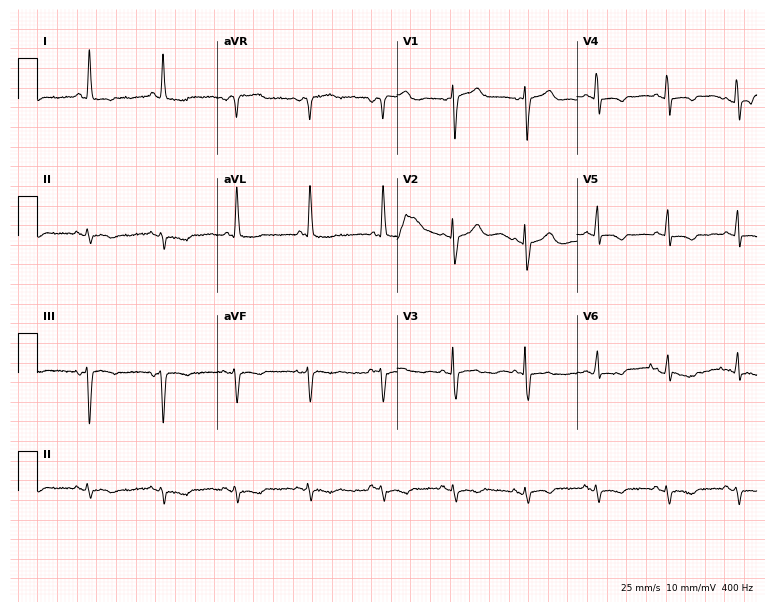
Standard 12-lead ECG recorded from a woman, 73 years old. None of these six findings is recorded: first-degree AV block, right bundle branch block (RBBB), left bundle branch block (LBBB), sinus bradycardia, atrial fibrillation (AF), sinus tachycardia. Other findings, if any, are not listed.